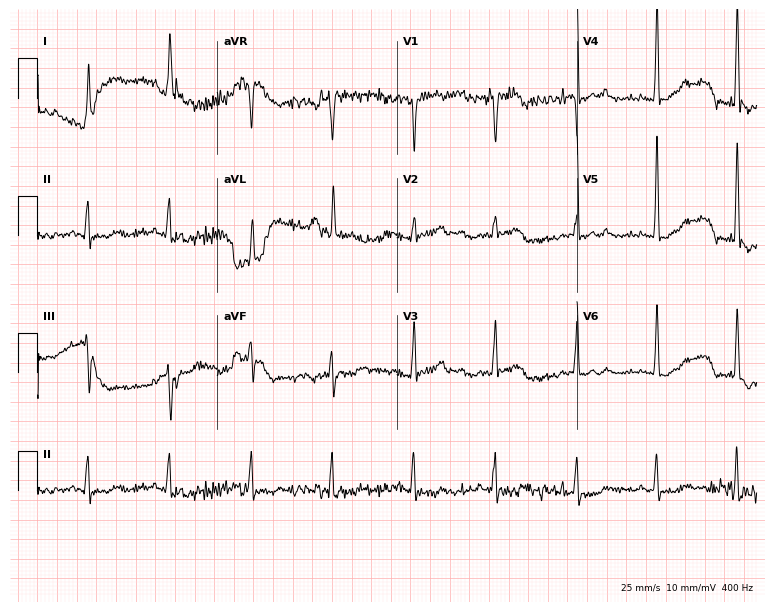
12-lead ECG from a 67-year-old female (7.3-second recording at 400 Hz). No first-degree AV block, right bundle branch block (RBBB), left bundle branch block (LBBB), sinus bradycardia, atrial fibrillation (AF) or sinus tachycardia recorded for this tracing. Other findings, if any, are not listed.